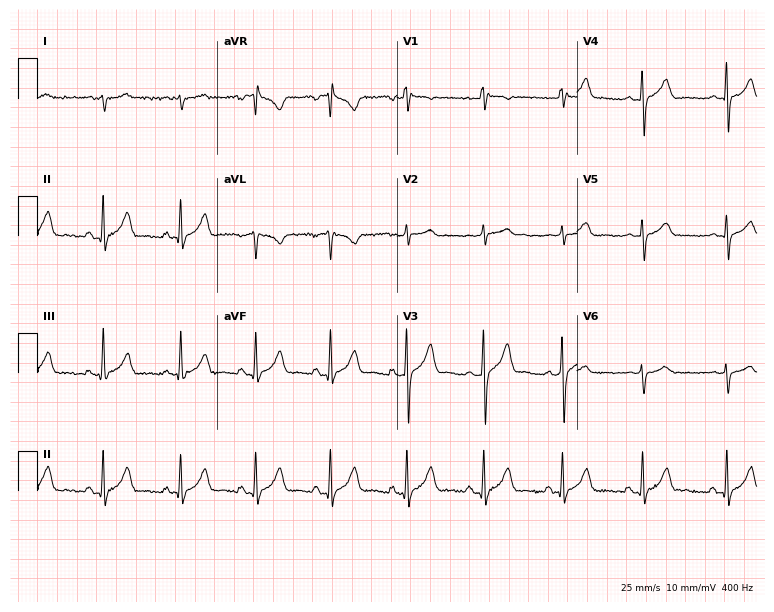
12-lead ECG from a male, 22 years old. No first-degree AV block, right bundle branch block, left bundle branch block, sinus bradycardia, atrial fibrillation or sinus tachycardia recorded for this tracing.